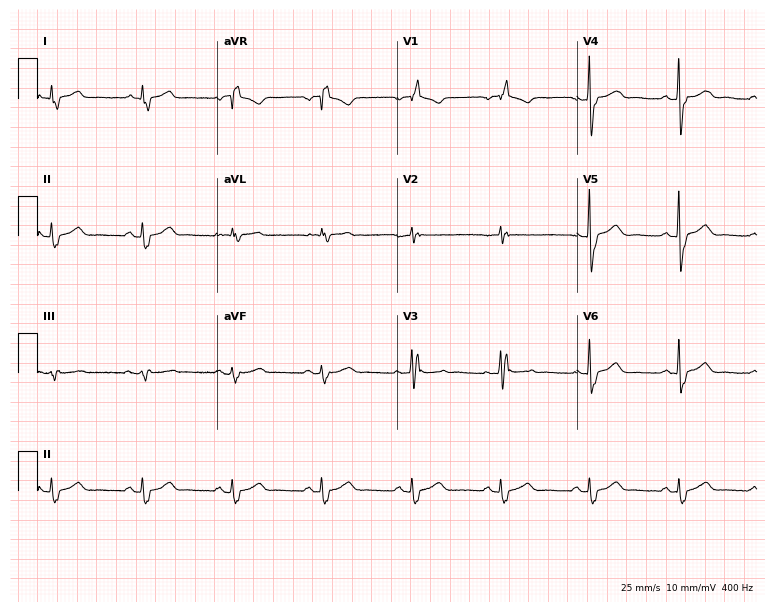
12-lead ECG (7.3-second recording at 400 Hz) from a man, 79 years old. Screened for six findings — first-degree AV block, right bundle branch block, left bundle branch block, sinus bradycardia, atrial fibrillation, sinus tachycardia — none is recorded.